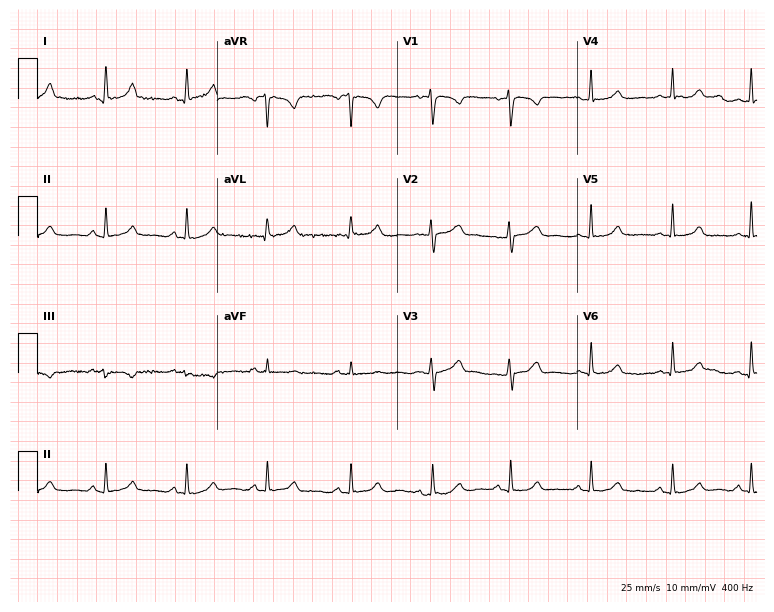
Resting 12-lead electrocardiogram. Patient: a female, 24 years old. None of these six findings is recorded: first-degree AV block, right bundle branch block (RBBB), left bundle branch block (LBBB), sinus bradycardia, atrial fibrillation (AF), sinus tachycardia.